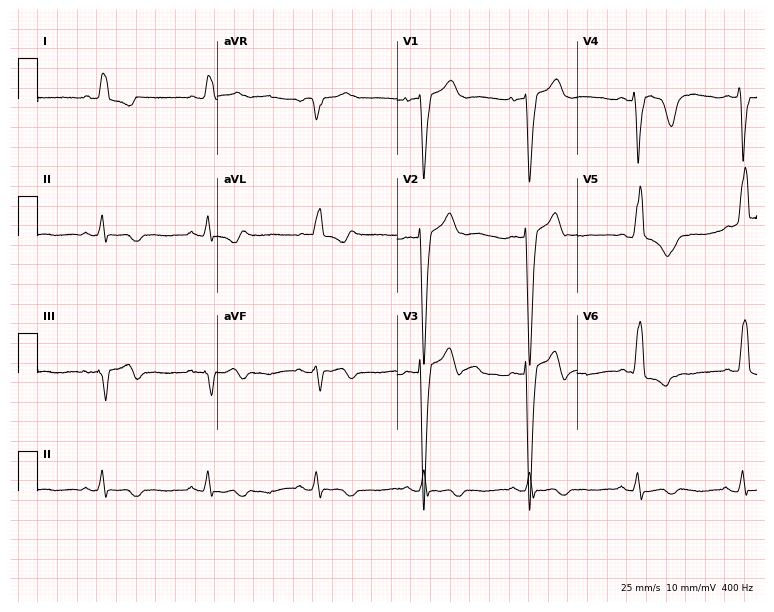
Standard 12-lead ECG recorded from a woman, 83 years old. The tracing shows left bundle branch block.